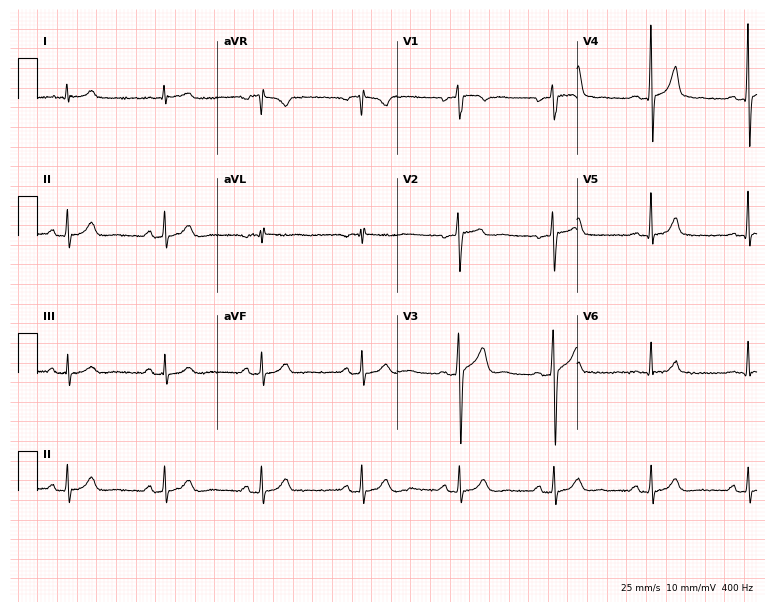
Standard 12-lead ECG recorded from a 52-year-old male. Read as a normal ECG.